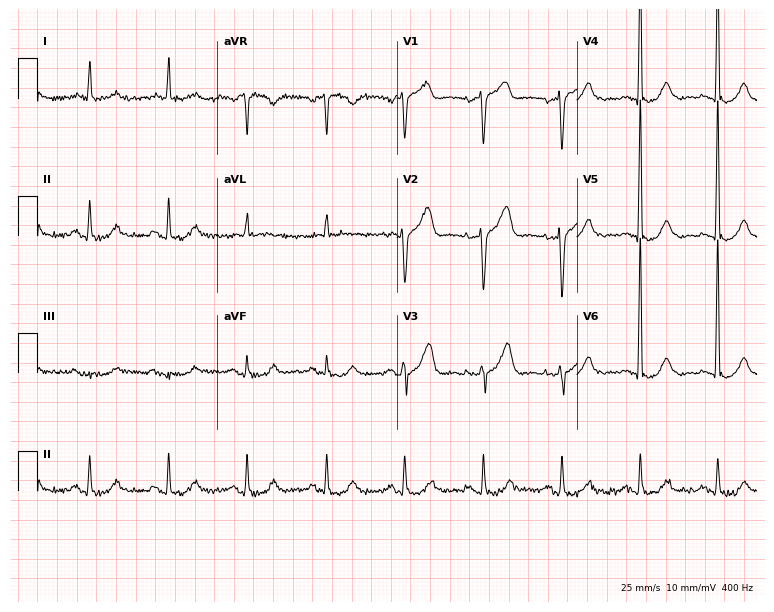
ECG — a 77-year-old male patient. Screened for six findings — first-degree AV block, right bundle branch block, left bundle branch block, sinus bradycardia, atrial fibrillation, sinus tachycardia — none is recorded.